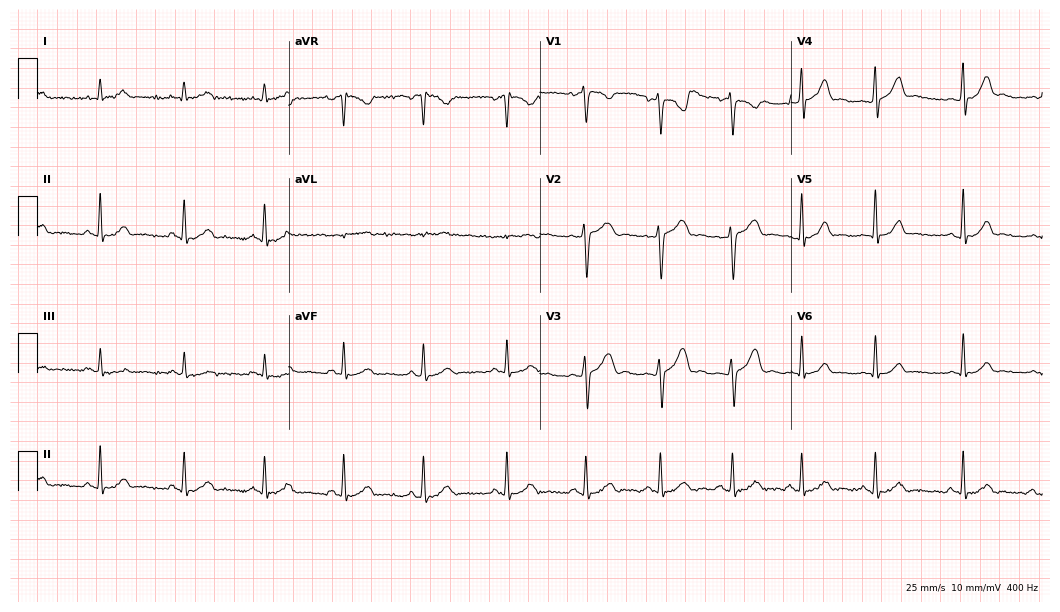
12-lead ECG from a male, 29 years old. Recorded interpretation: within normal limits.